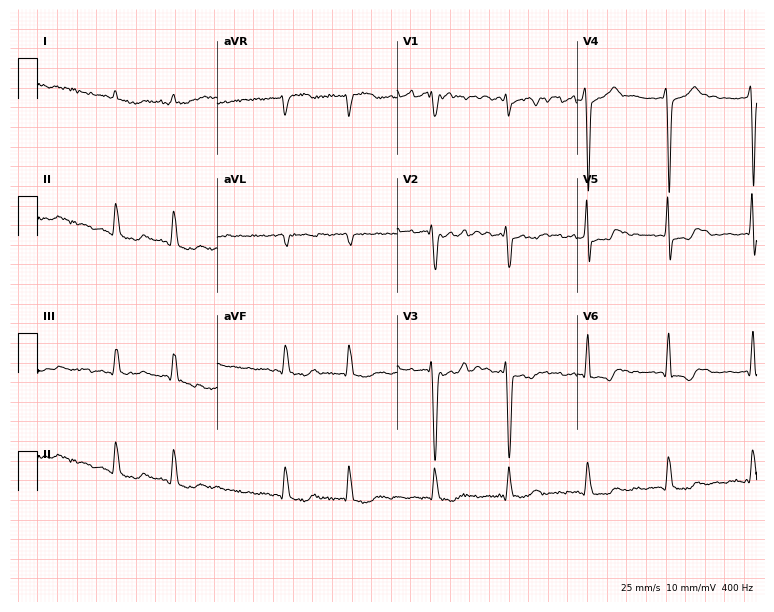
ECG — a male patient, 57 years old. Findings include atrial fibrillation.